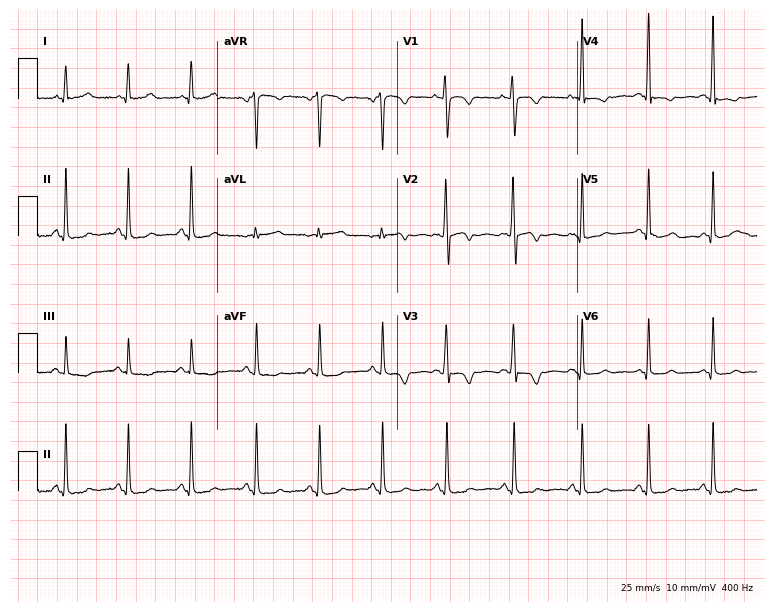
12-lead ECG from a female, 33 years old (7.3-second recording at 400 Hz). No first-degree AV block, right bundle branch block (RBBB), left bundle branch block (LBBB), sinus bradycardia, atrial fibrillation (AF) or sinus tachycardia recorded for this tracing. Findings outside these six are not listed.